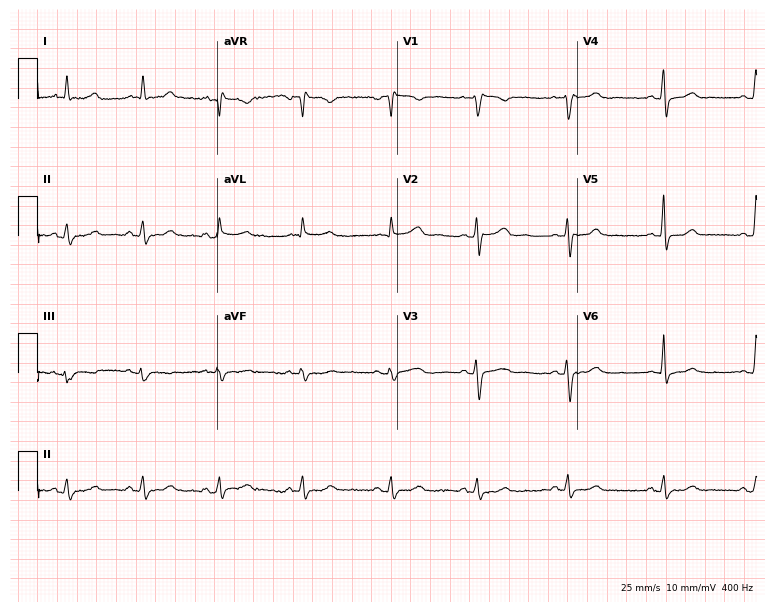
12-lead ECG from a 50-year-old female. Recorded interpretation: within normal limits.